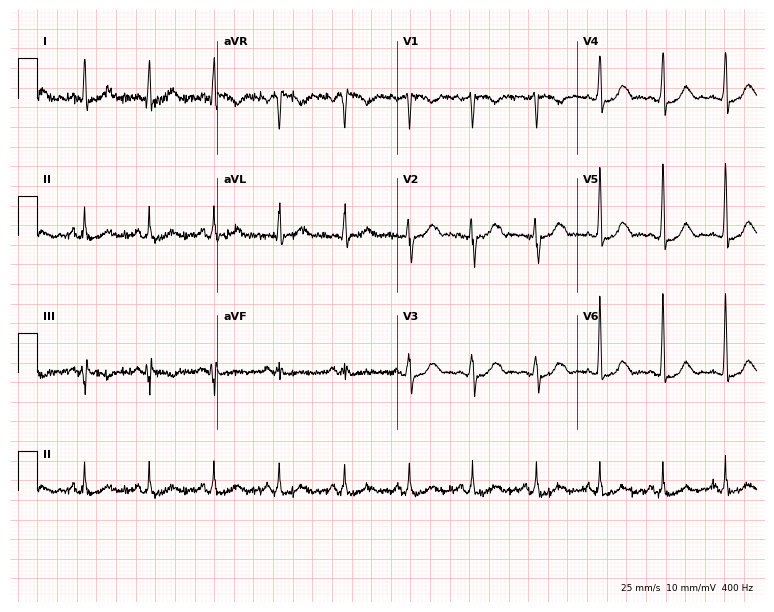
Standard 12-lead ECG recorded from a female patient, 38 years old (7.3-second recording at 400 Hz). Read as a normal ECG.